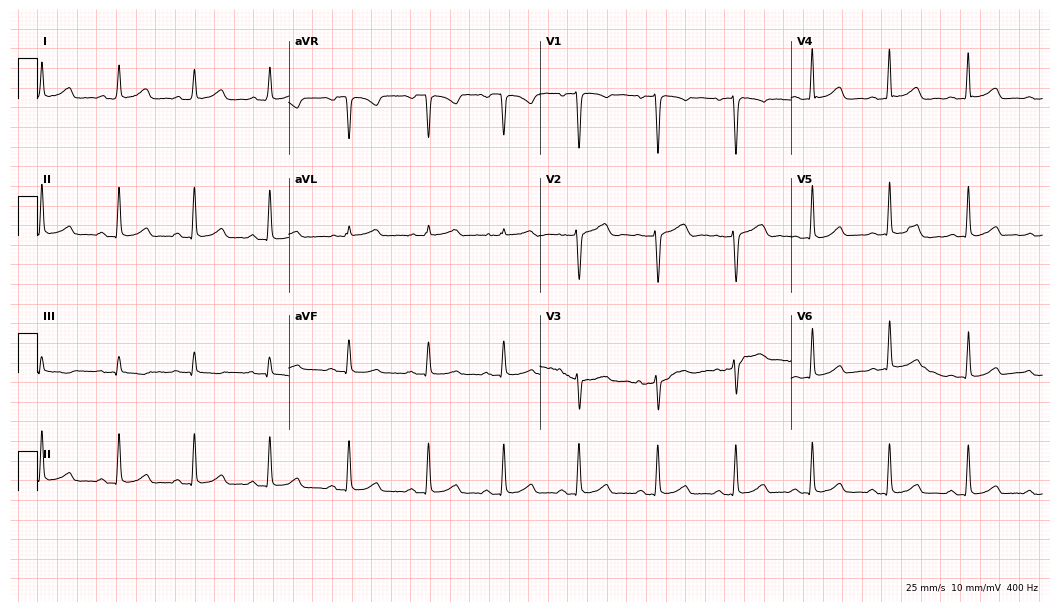
ECG (10.2-second recording at 400 Hz) — a female patient, 57 years old. Labelled as a normal ECG.